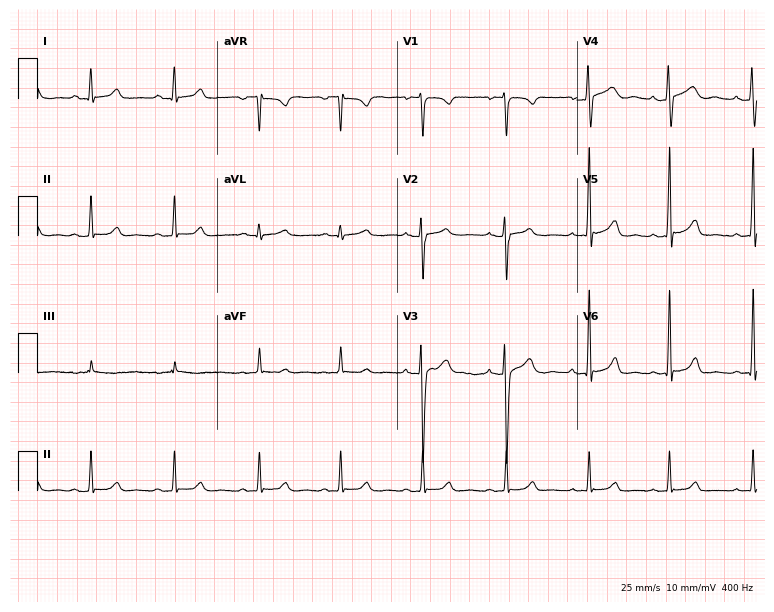
ECG (7.3-second recording at 400 Hz) — a man, 21 years old. Labelled as a normal ECG.